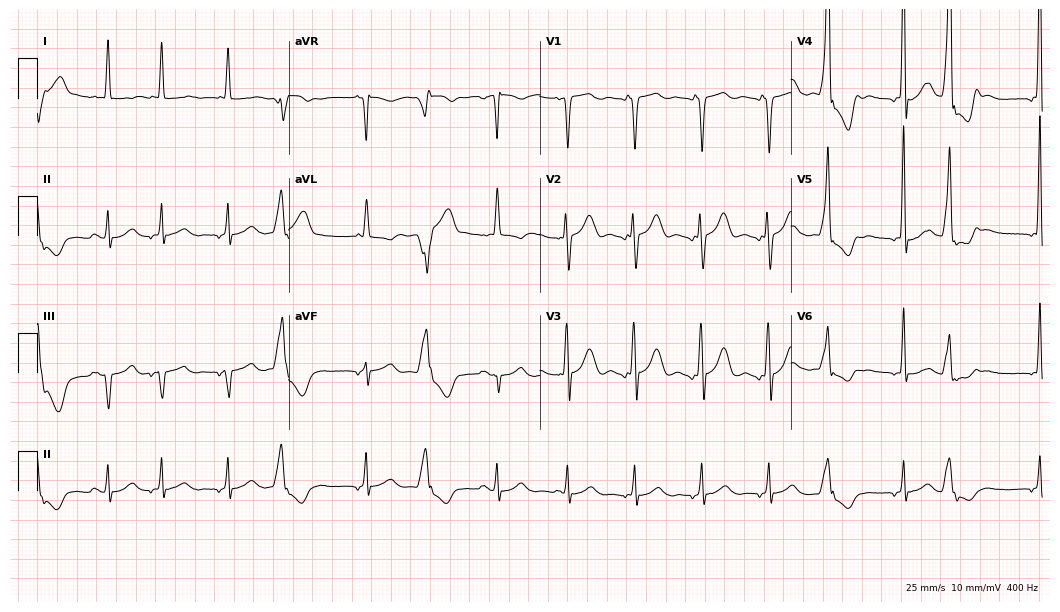
12-lead ECG from a man, 68 years old (10.2-second recording at 400 Hz). No first-degree AV block, right bundle branch block (RBBB), left bundle branch block (LBBB), sinus bradycardia, atrial fibrillation (AF) or sinus tachycardia recorded for this tracing. Other findings, if any, are not listed.